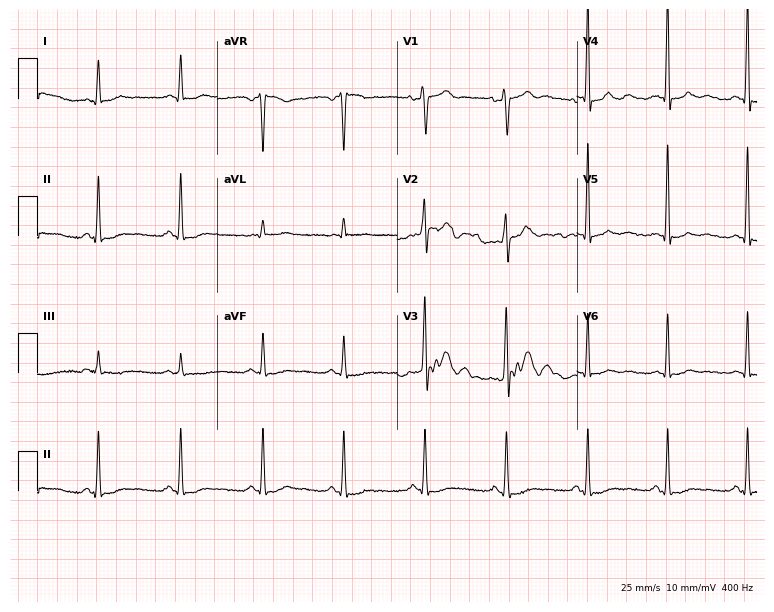
12-lead ECG from a male patient, 54 years old. No first-degree AV block, right bundle branch block, left bundle branch block, sinus bradycardia, atrial fibrillation or sinus tachycardia recorded for this tracing. Findings outside these six are not listed.